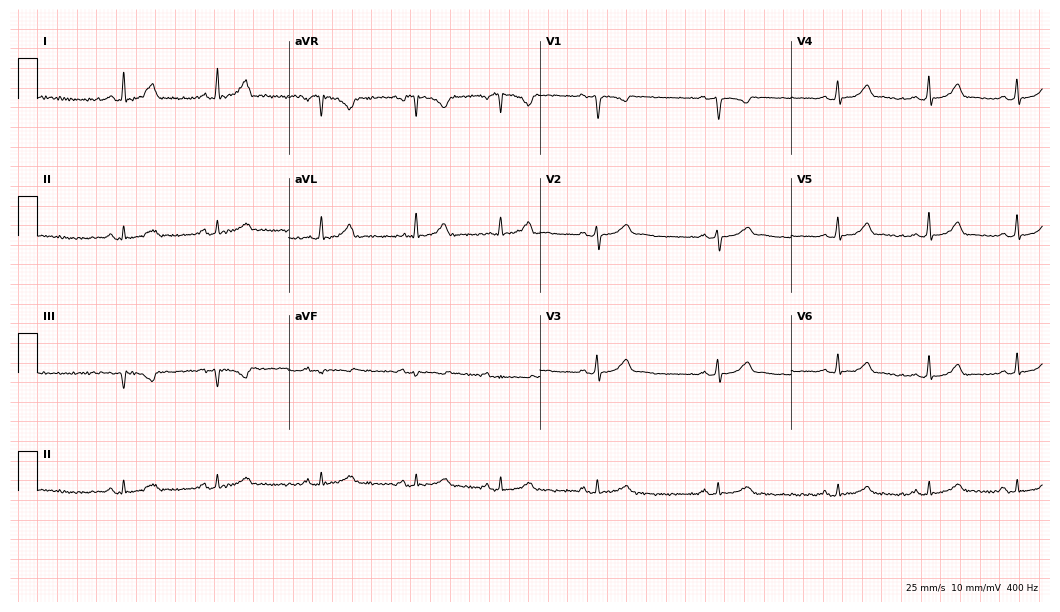
Resting 12-lead electrocardiogram. Patient: a 24-year-old female. None of these six findings is recorded: first-degree AV block, right bundle branch block, left bundle branch block, sinus bradycardia, atrial fibrillation, sinus tachycardia.